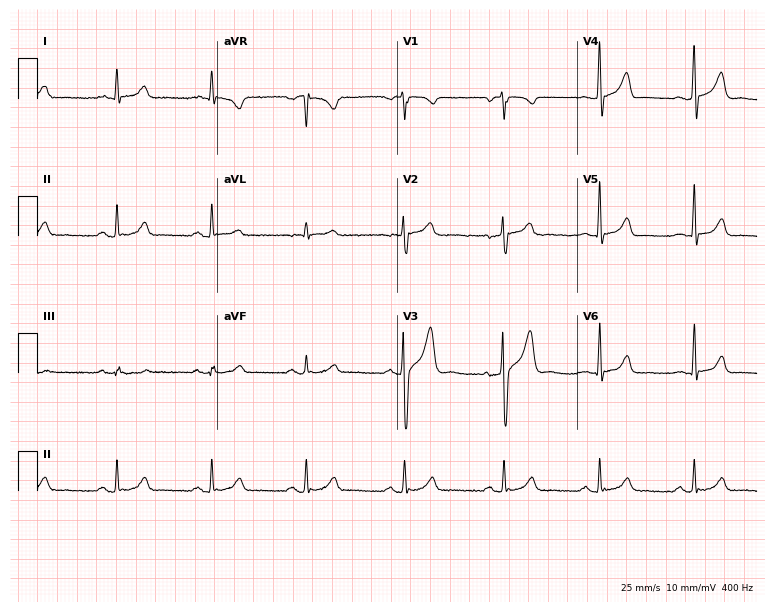
12-lead ECG (7.3-second recording at 400 Hz) from a 33-year-old man. Labelled as a normal ECG.